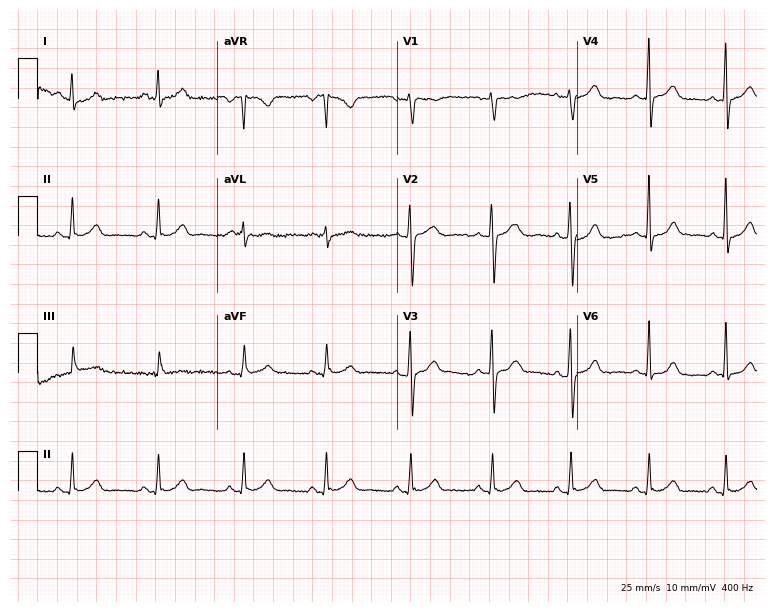
Electrocardiogram (7.3-second recording at 400 Hz), a male, 33 years old. Overall reading on record: normal ECG.